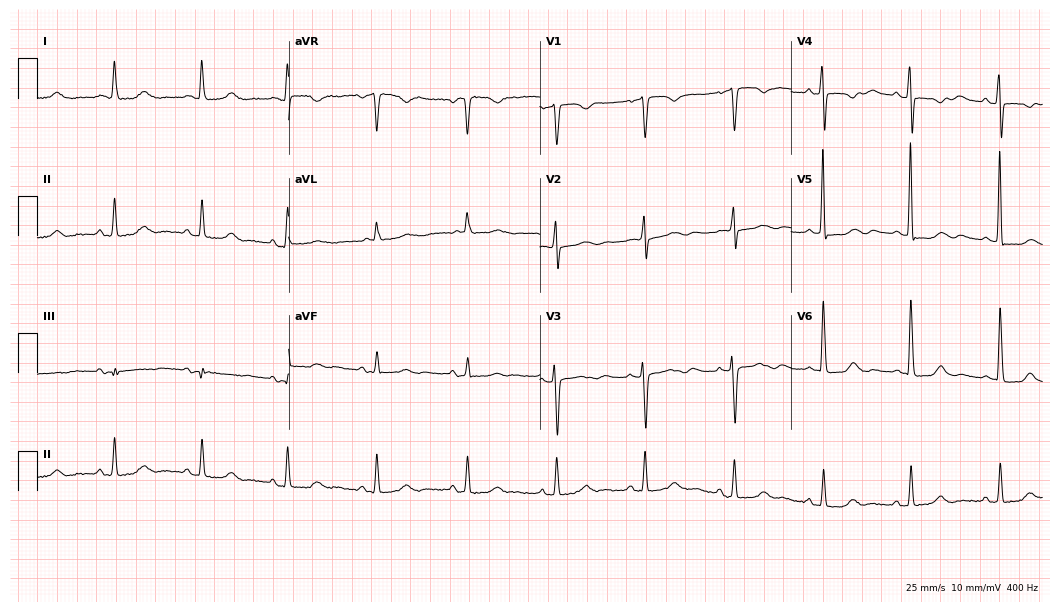
Standard 12-lead ECG recorded from a 77-year-old female. None of these six findings is recorded: first-degree AV block, right bundle branch block (RBBB), left bundle branch block (LBBB), sinus bradycardia, atrial fibrillation (AF), sinus tachycardia. Only these six findings were labelled.